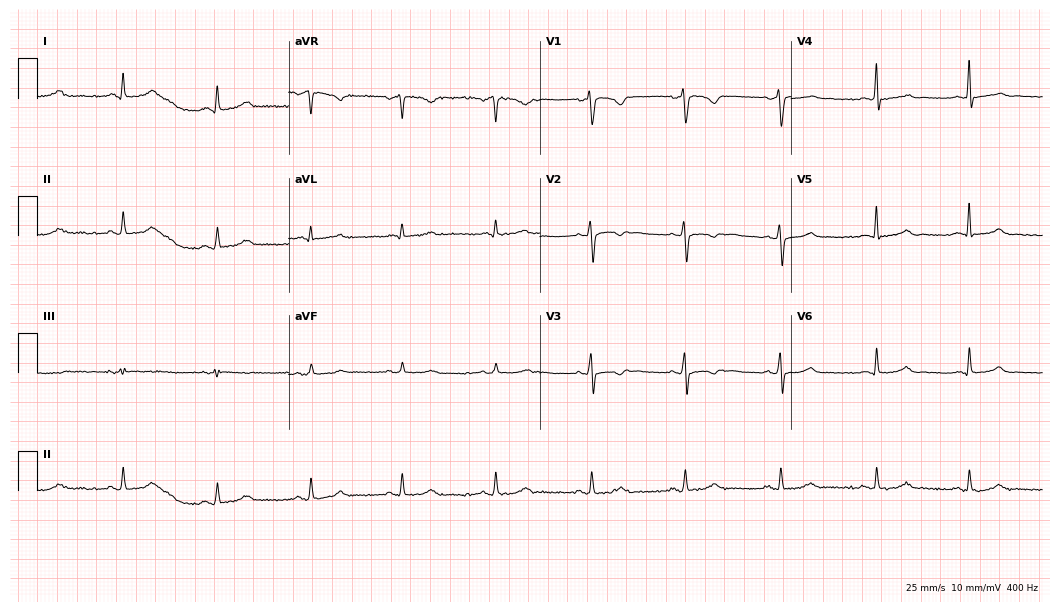
12-lead ECG from a woman, 37 years old. Labelled as a normal ECG.